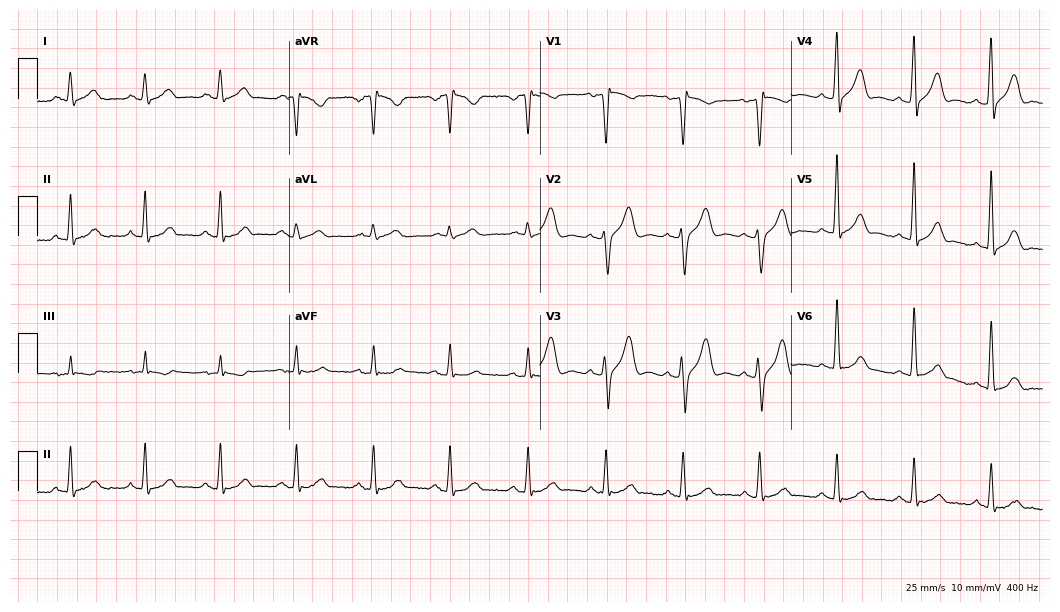
Resting 12-lead electrocardiogram (10.2-second recording at 400 Hz). Patient: a 49-year-old man. Read as a normal ECG.